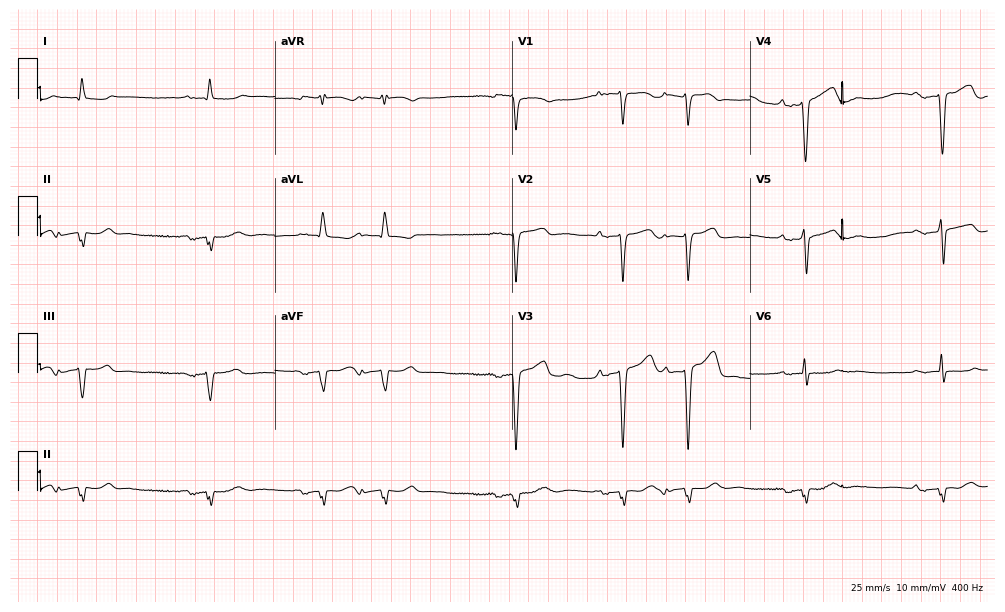
ECG (9.7-second recording at 400 Hz) — an 80-year-old male. Findings include first-degree AV block.